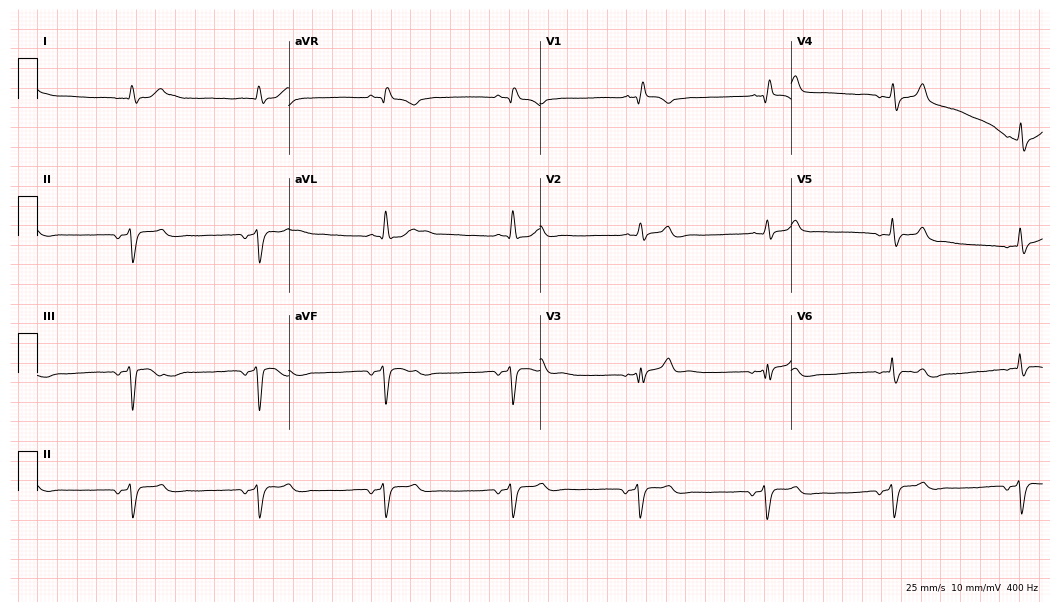
12-lead ECG from a 61-year-old male patient (10.2-second recording at 400 Hz). No first-degree AV block, right bundle branch block, left bundle branch block, sinus bradycardia, atrial fibrillation or sinus tachycardia recorded for this tracing.